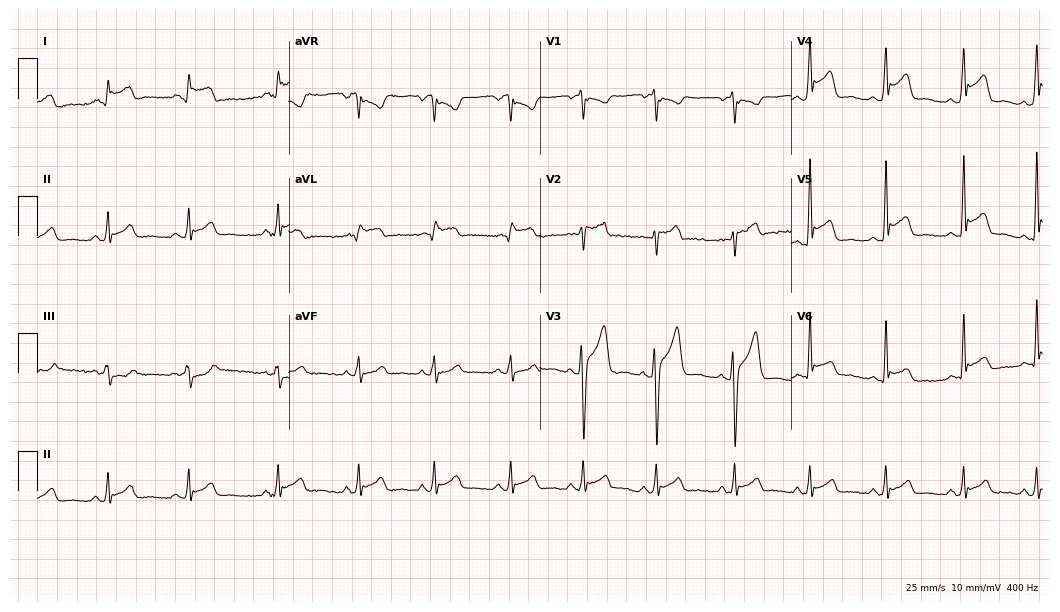
12-lead ECG from a man, 26 years old. Screened for six findings — first-degree AV block, right bundle branch block, left bundle branch block, sinus bradycardia, atrial fibrillation, sinus tachycardia — none is recorded.